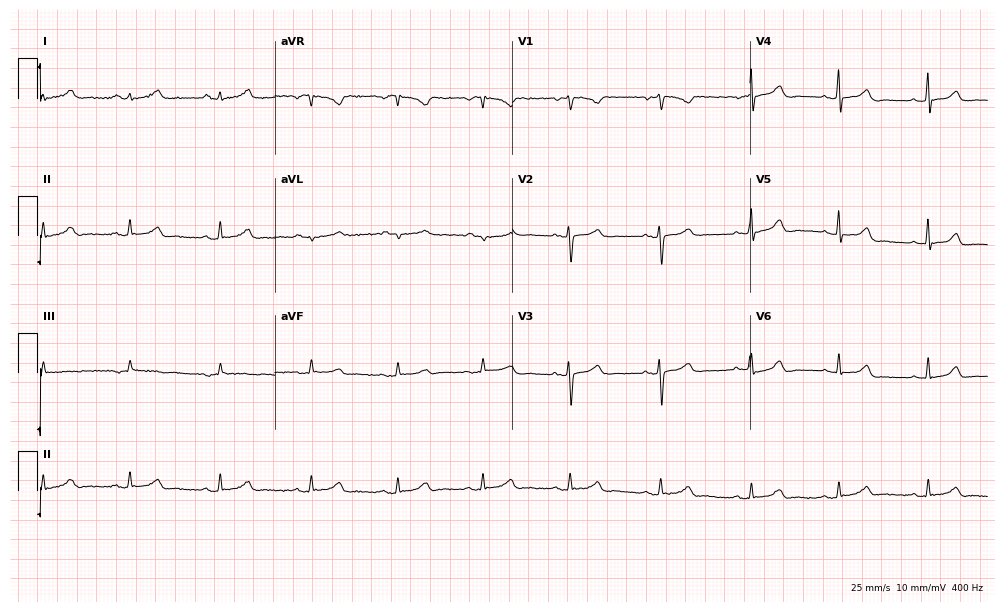
Standard 12-lead ECG recorded from a female, 40 years old. Read as a normal ECG.